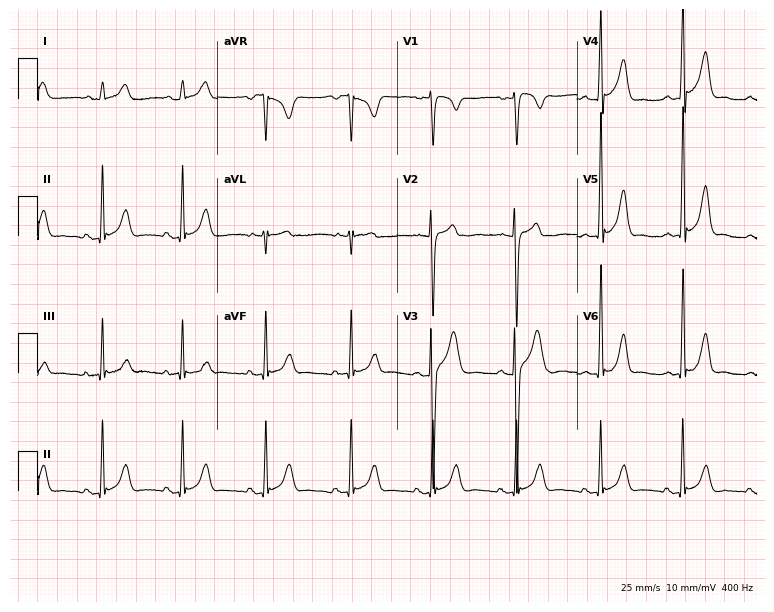
ECG (7.3-second recording at 400 Hz) — a man, 17 years old. Labelled as a normal ECG.